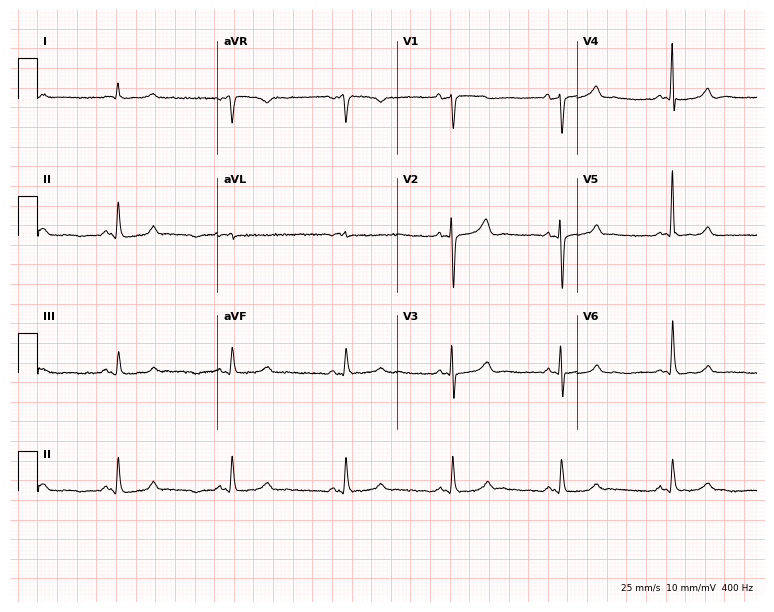
Electrocardiogram (7.3-second recording at 400 Hz), a 61-year-old woman. Overall reading on record: normal ECG.